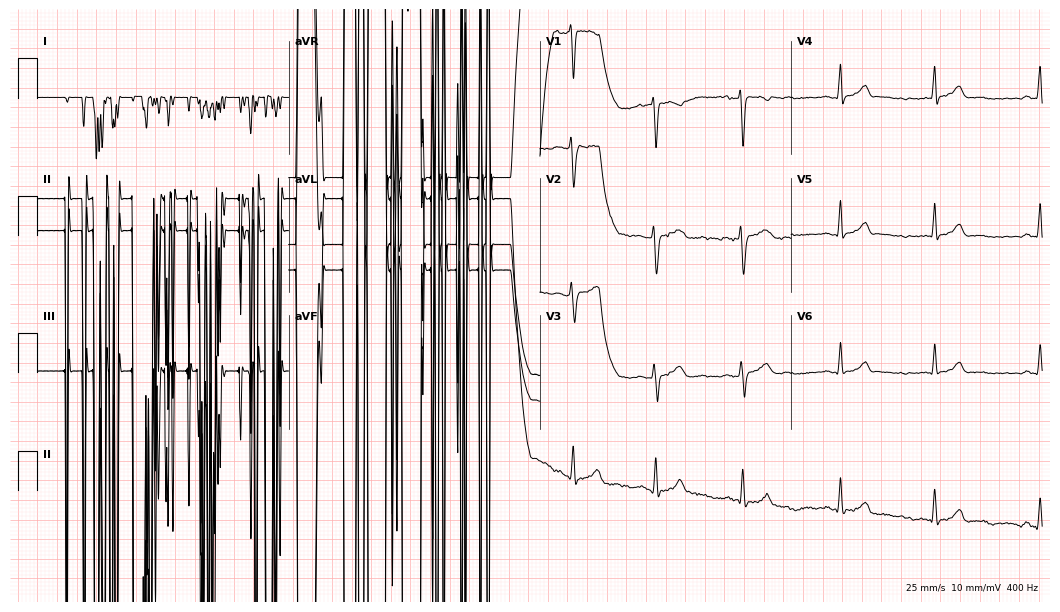
Electrocardiogram (10.2-second recording at 400 Hz), a 31-year-old female patient. Of the six screened findings (first-degree AV block, right bundle branch block, left bundle branch block, sinus bradycardia, atrial fibrillation, sinus tachycardia), none is recorded. Other findings, if any, are not listed.